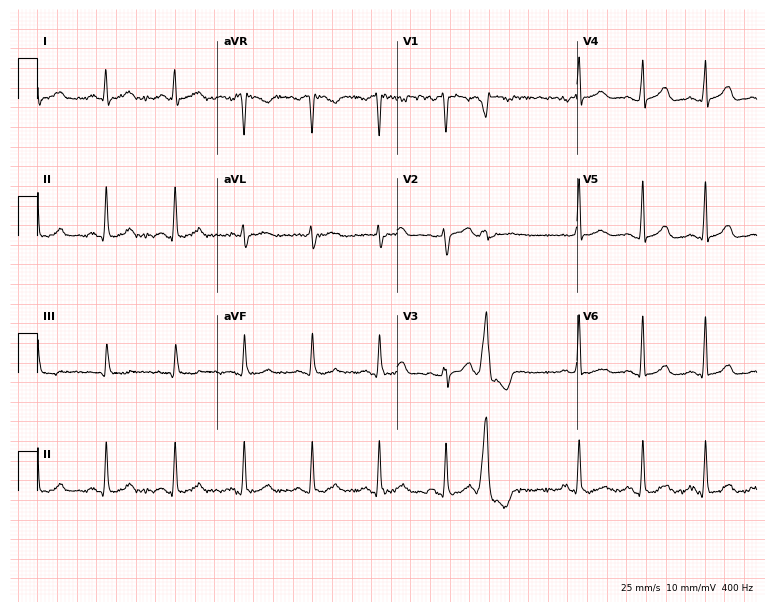
Electrocardiogram, a male patient, 52 years old. Of the six screened findings (first-degree AV block, right bundle branch block (RBBB), left bundle branch block (LBBB), sinus bradycardia, atrial fibrillation (AF), sinus tachycardia), none is recorded. Only these six findings were labelled.